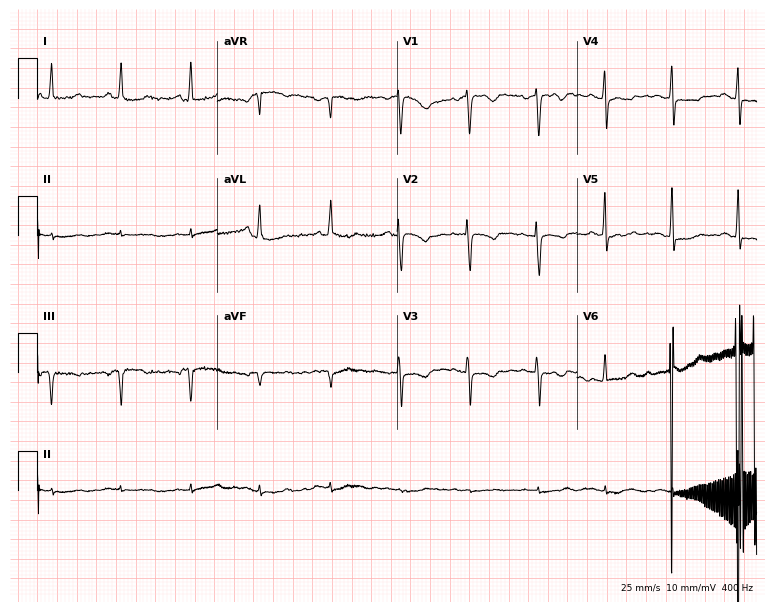
12-lead ECG from a female patient, 74 years old. No first-degree AV block, right bundle branch block (RBBB), left bundle branch block (LBBB), sinus bradycardia, atrial fibrillation (AF) or sinus tachycardia recorded for this tracing. Other findings, if any, are not listed.